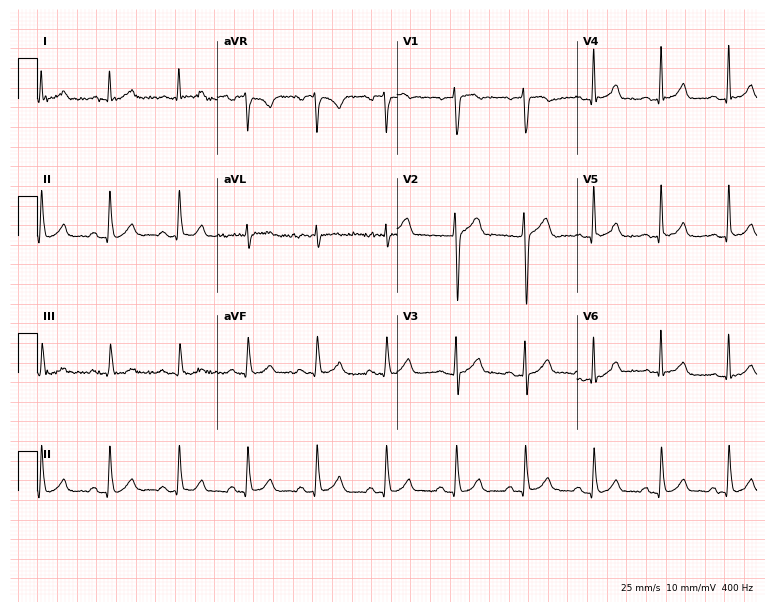
ECG — a 52-year-old male. Labelled as a normal ECG.